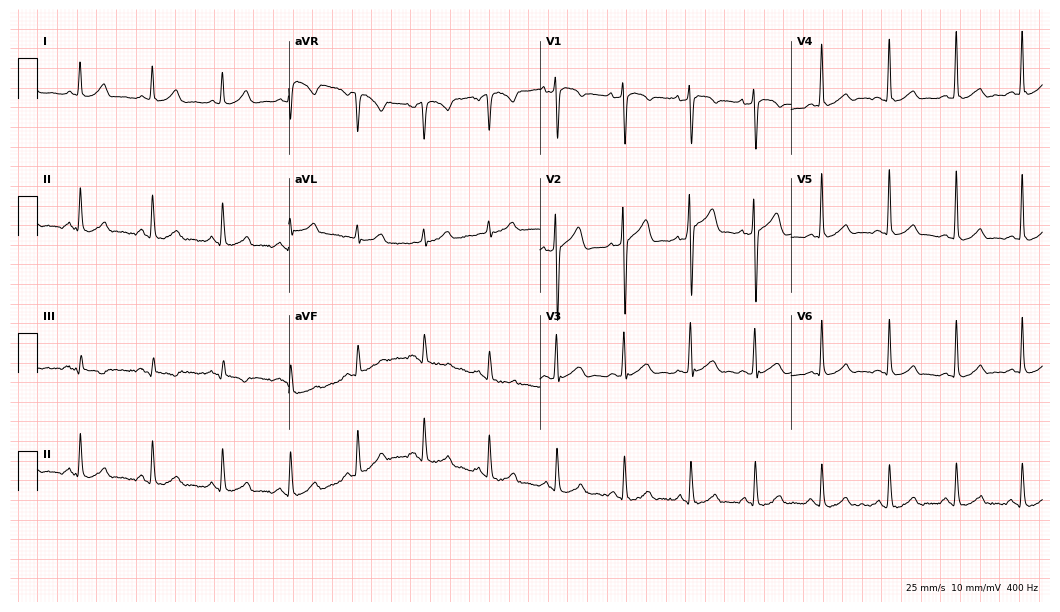
Resting 12-lead electrocardiogram (10.2-second recording at 400 Hz). Patient: a 27-year-old male. Read as a normal ECG.